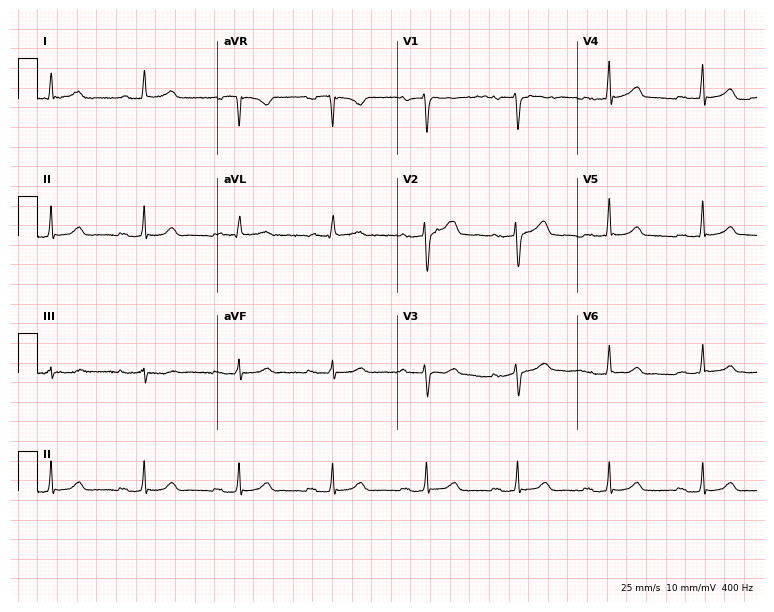
Resting 12-lead electrocardiogram. Patient: a 63-year-old female. The tracing shows first-degree AV block.